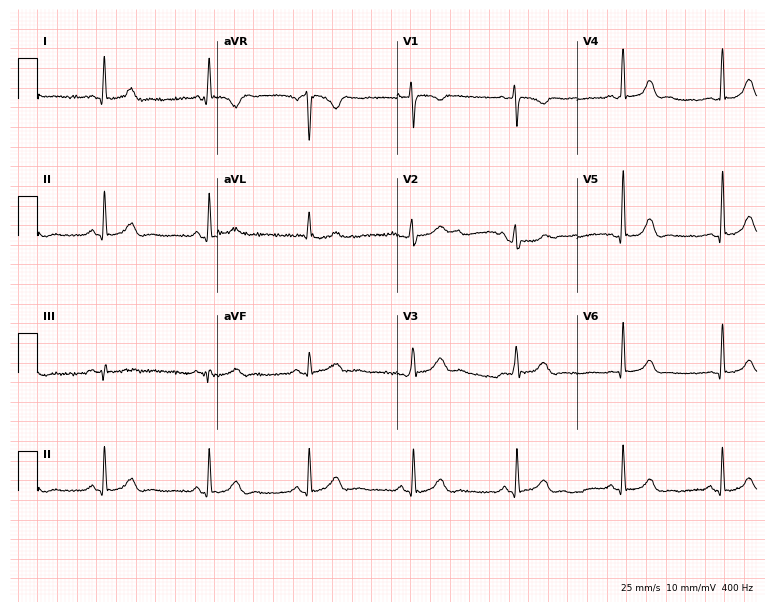
Resting 12-lead electrocardiogram. Patient: a female, 48 years old. None of these six findings is recorded: first-degree AV block, right bundle branch block, left bundle branch block, sinus bradycardia, atrial fibrillation, sinus tachycardia.